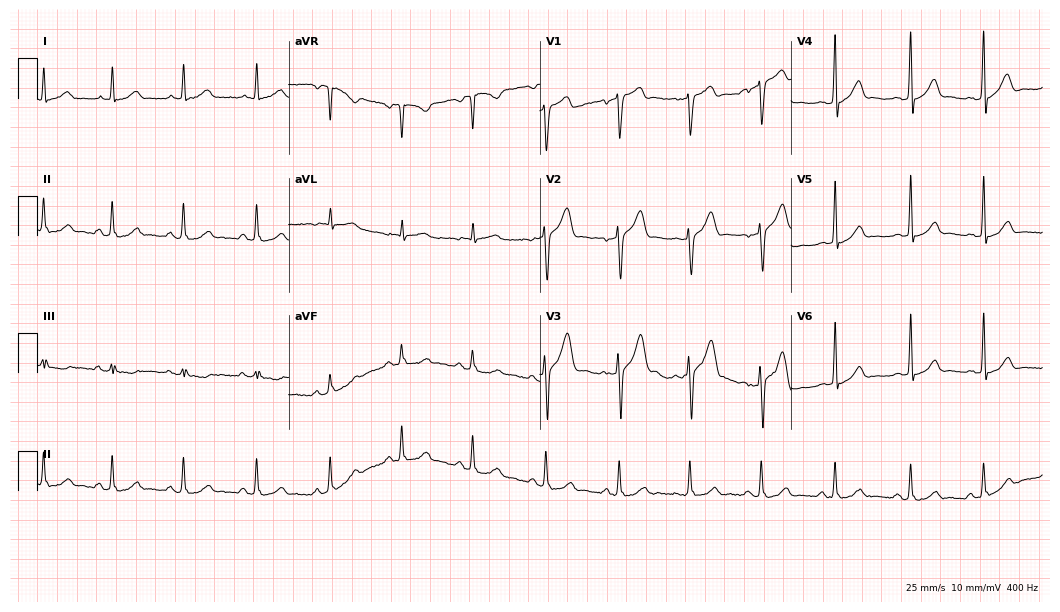
Resting 12-lead electrocardiogram (10.2-second recording at 400 Hz). Patient: a male, 45 years old. Read as a normal ECG.